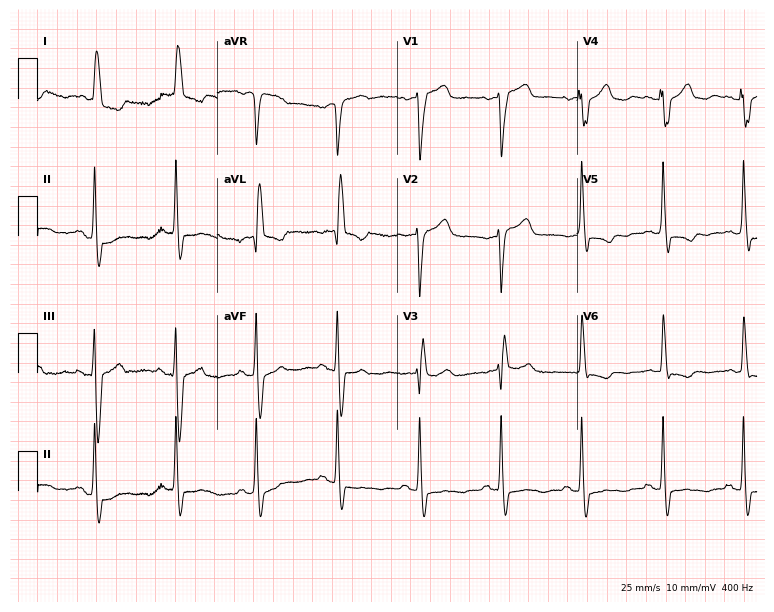
Electrocardiogram (7.3-second recording at 400 Hz), a female patient, 79 years old. Of the six screened findings (first-degree AV block, right bundle branch block (RBBB), left bundle branch block (LBBB), sinus bradycardia, atrial fibrillation (AF), sinus tachycardia), none is recorded.